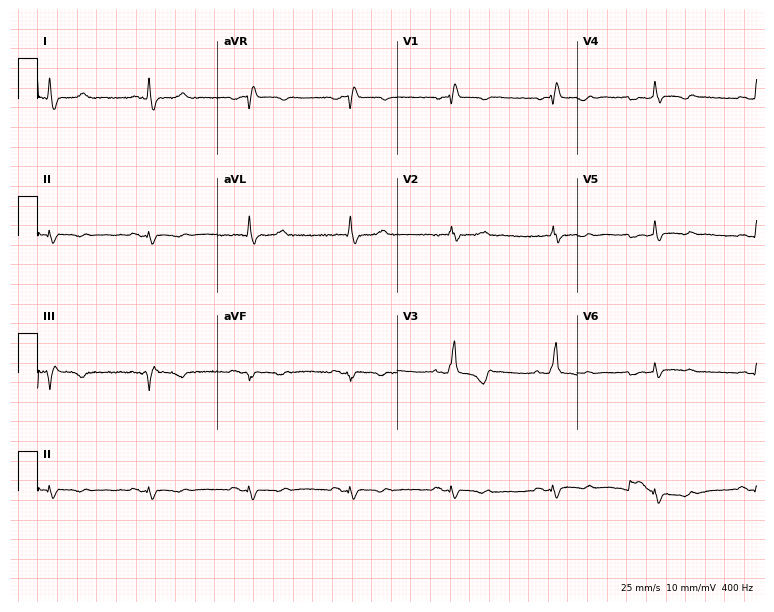
ECG (7.3-second recording at 400 Hz) — a 52-year-old female. Findings include right bundle branch block.